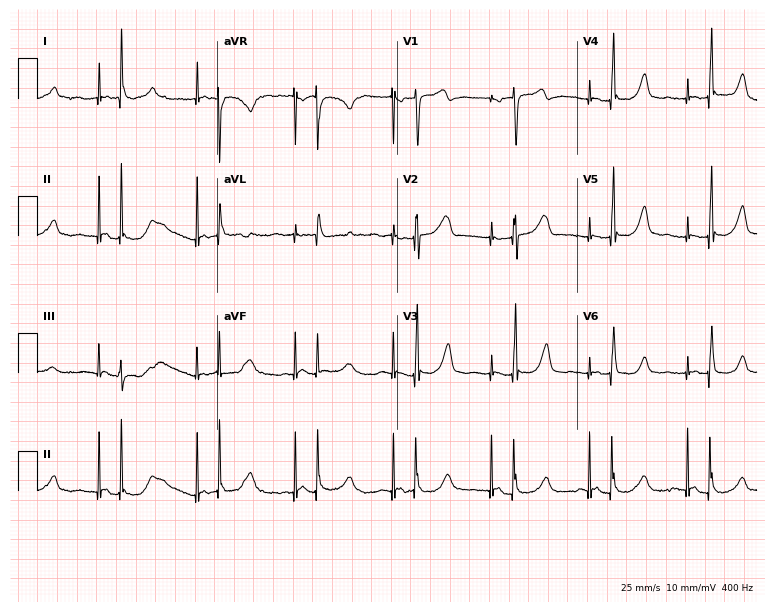
12-lead ECG from a 51-year-old male patient. Screened for six findings — first-degree AV block, right bundle branch block (RBBB), left bundle branch block (LBBB), sinus bradycardia, atrial fibrillation (AF), sinus tachycardia — none is recorded.